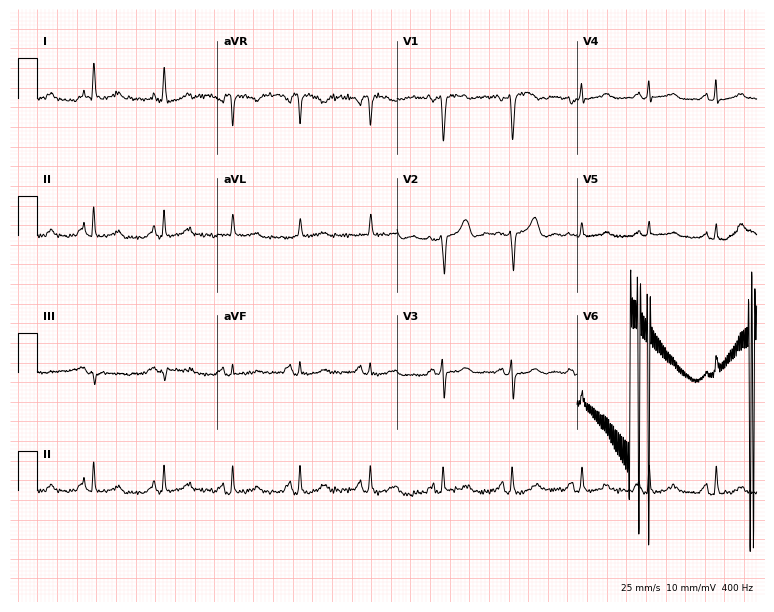
12-lead ECG from a 68-year-old woman. Screened for six findings — first-degree AV block, right bundle branch block, left bundle branch block, sinus bradycardia, atrial fibrillation, sinus tachycardia — none is recorded.